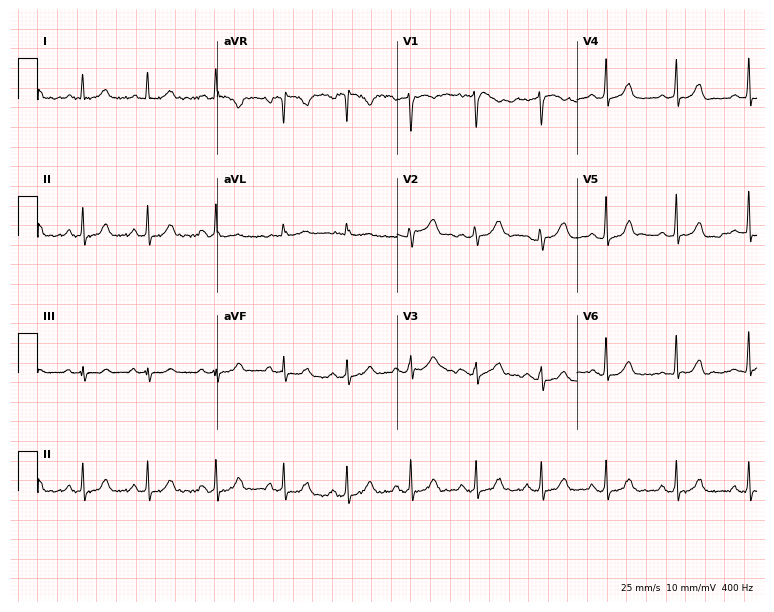
12-lead ECG from a woman, 25 years old. Screened for six findings — first-degree AV block, right bundle branch block, left bundle branch block, sinus bradycardia, atrial fibrillation, sinus tachycardia — none is recorded. Only these six findings were labelled.